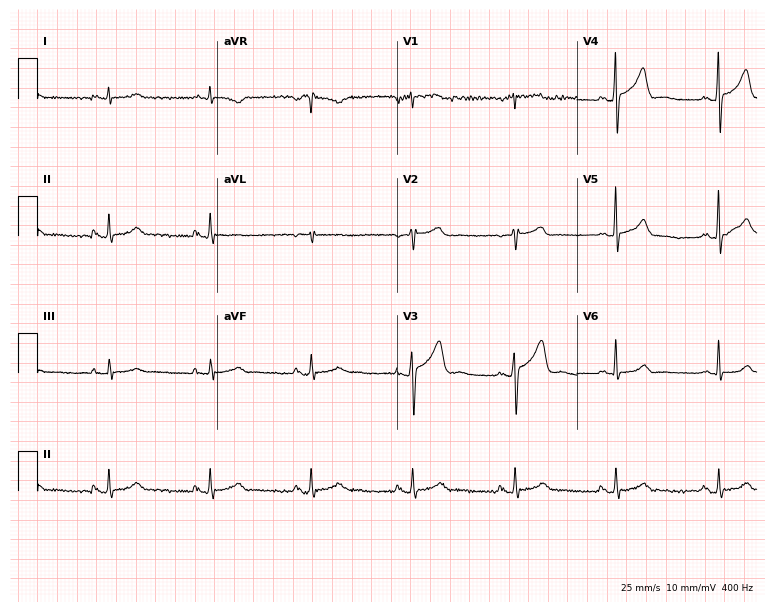
12-lead ECG from a 51-year-old female (7.3-second recording at 400 Hz). Recorded interpretation: within normal limits.